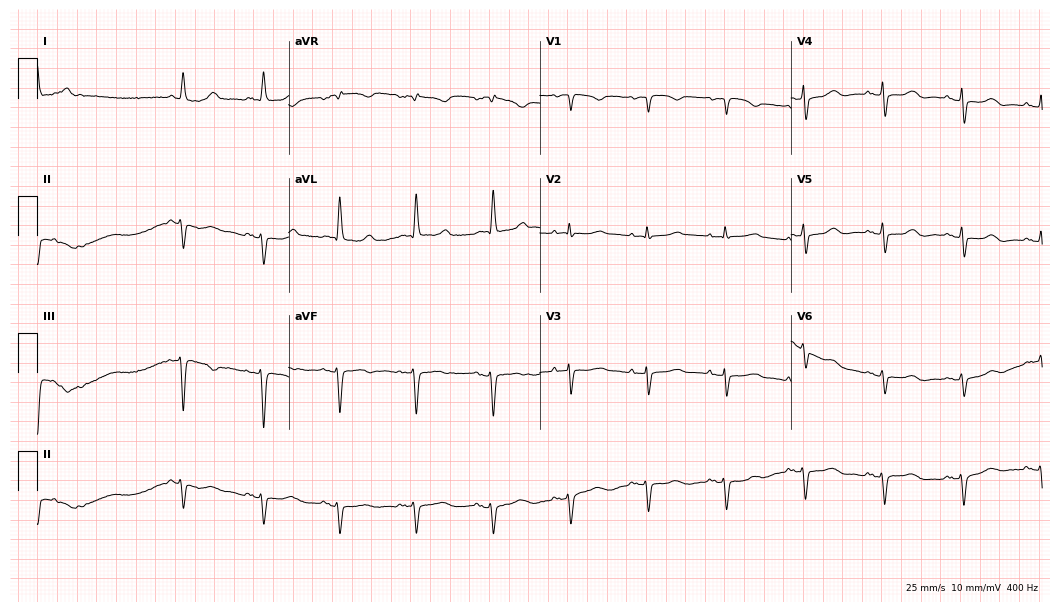
12-lead ECG from a 74-year-old female patient. No first-degree AV block, right bundle branch block (RBBB), left bundle branch block (LBBB), sinus bradycardia, atrial fibrillation (AF) or sinus tachycardia recorded for this tracing.